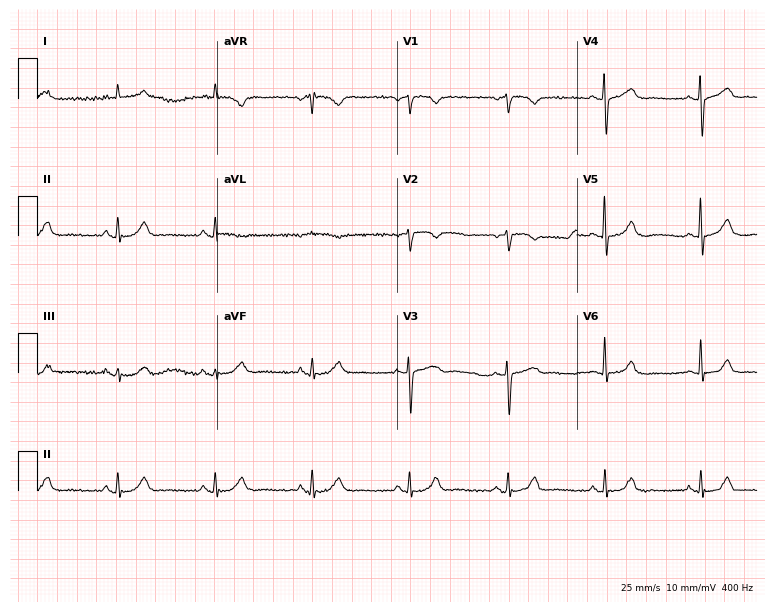
Resting 12-lead electrocardiogram. Patient: a male, 80 years old. None of these six findings is recorded: first-degree AV block, right bundle branch block, left bundle branch block, sinus bradycardia, atrial fibrillation, sinus tachycardia. Findings outside these six are not listed.